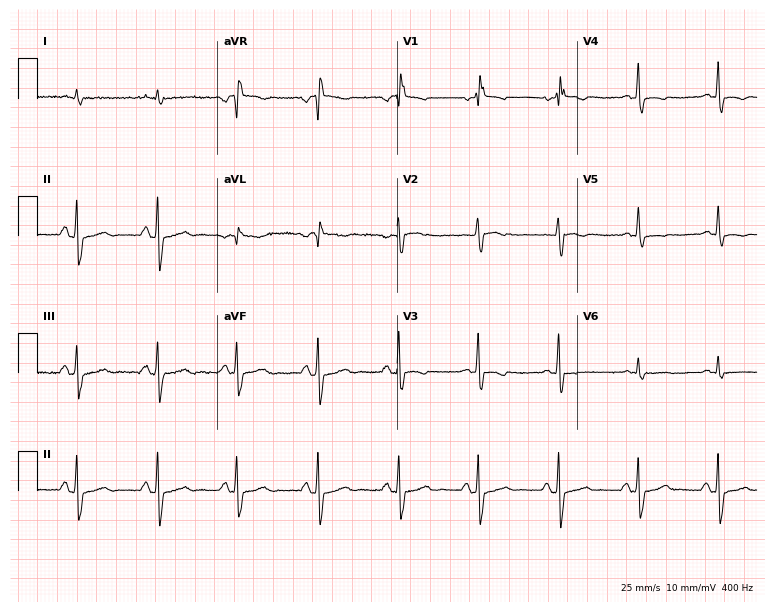
Electrocardiogram (7.3-second recording at 400 Hz), an 83-year-old male patient. Overall reading on record: normal ECG.